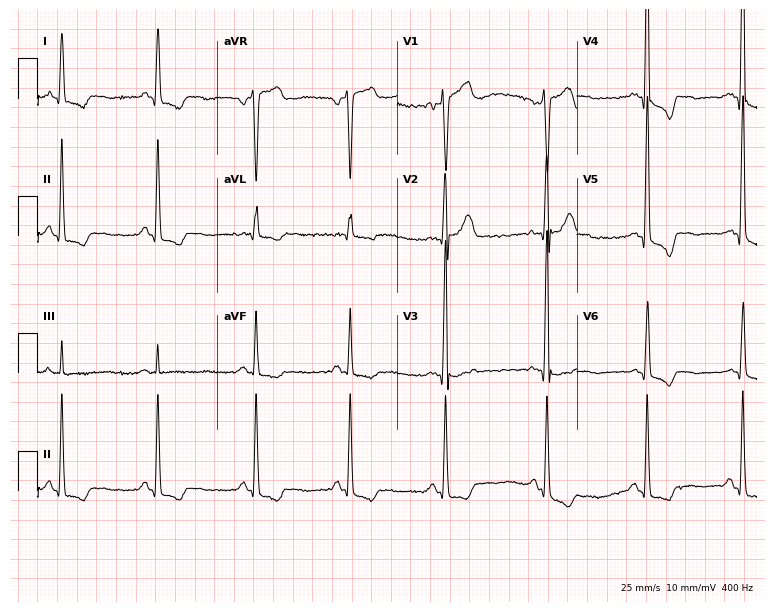
Electrocardiogram (7.3-second recording at 400 Hz), a male patient, 51 years old. Of the six screened findings (first-degree AV block, right bundle branch block, left bundle branch block, sinus bradycardia, atrial fibrillation, sinus tachycardia), none is recorded.